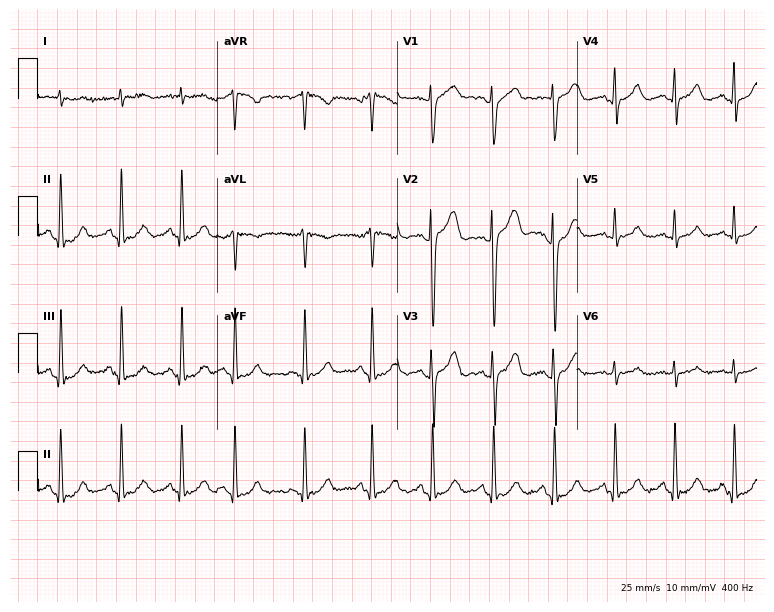
ECG (7.3-second recording at 400 Hz) — a male patient, 69 years old. Screened for six findings — first-degree AV block, right bundle branch block, left bundle branch block, sinus bradycardia, atrial fibrillation, sinus tachycardia — none is recorded.